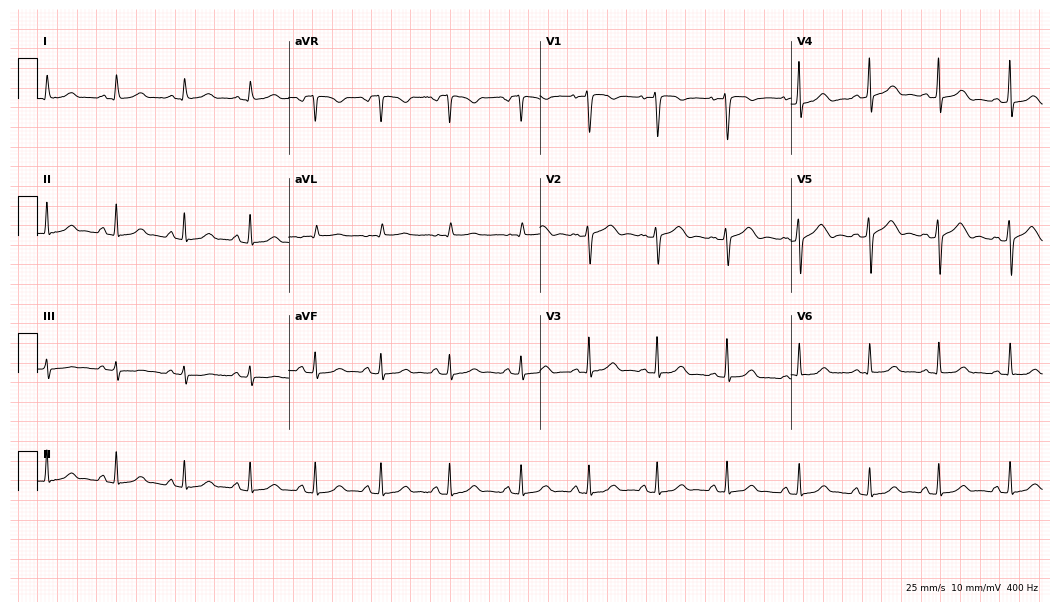
Electrocardiogram (10.2-second recording at 400 Hz), a 30-year-old female. Of the six screened findings (first-degree AV block, right bundle branch block (RBBB), left bundle branch block (LBBB), sinus bradycardia, atrial fibrillation (AF), sinus tachycardia), none is recorded.